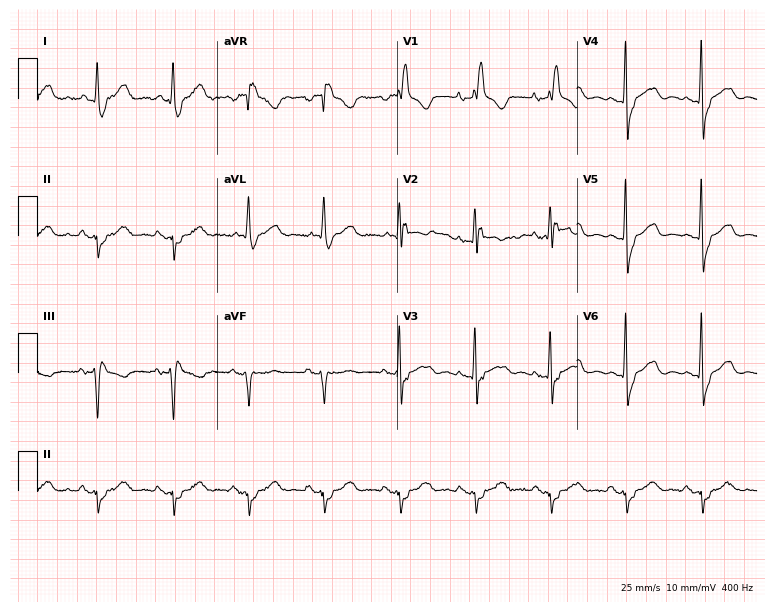
Electrocardiogram (7.3-second recording at 400 Hz), an 84-year-old woman. Interpretation includes right bundle branch block.